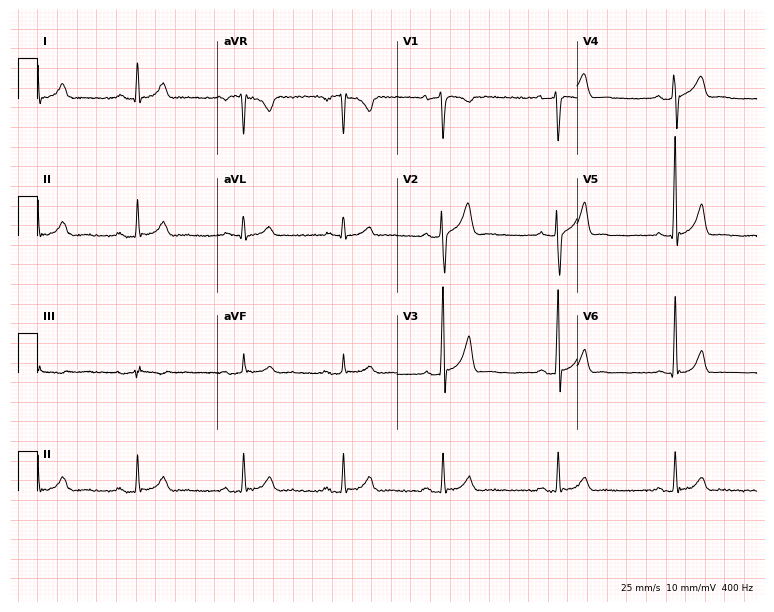
Resting 12-lead electrocardiogram (7.3-second recording at 400 Hz). Patient: a 38-year-old male. Read as a normal ECG.